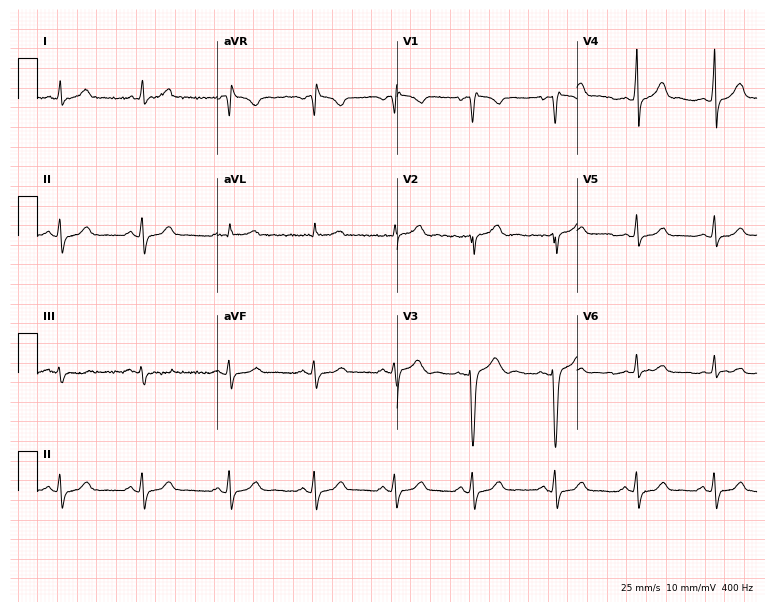
Resting 12-lead electrocardiogram (7.3-second recording at 400 Hz). Patient: a 23-year-old female. None of these six findings is recorded: first-degree AV block, right bundle branch block, left bundle branch block, sinus bradycardia, atrial fibrillation, sinus tachycardia.